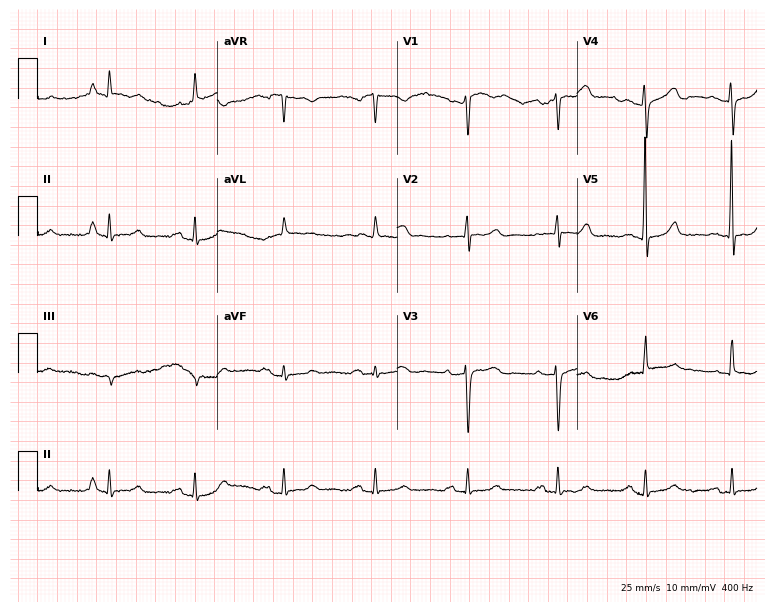
Electrocardiogram, an 82-year-old female. Overall reading on record: normal ECG.